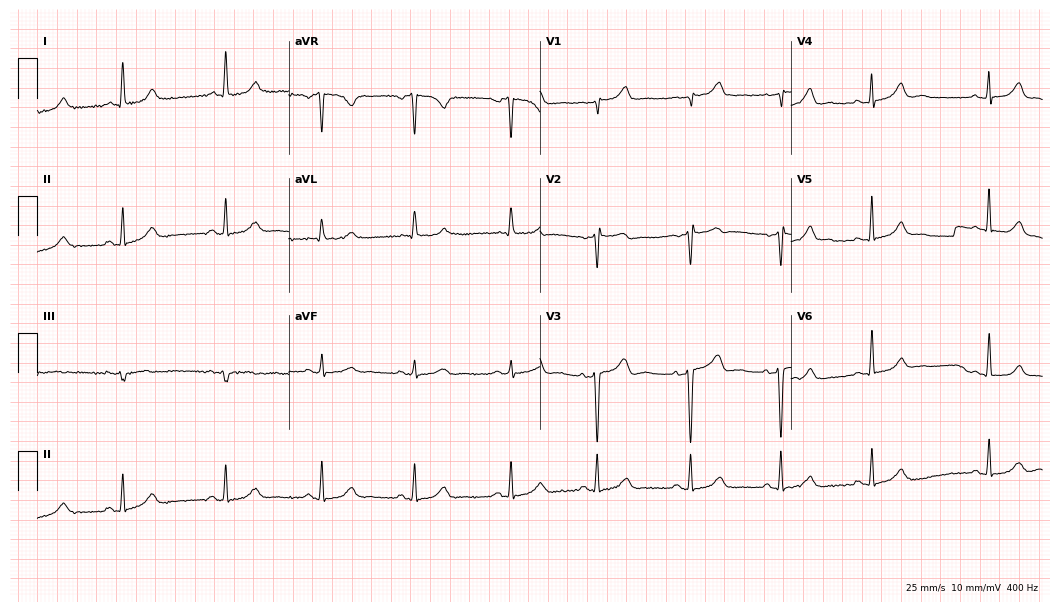
12-lead ECG from a 47-year-old woman (10.2-second recording at 400 Hz). No first-degree AV block, right bundle branch block, left bundle branch block, sinus bradycardia, atrial fibrillation or sinus tachycardia recorded for this tracing. Findings outside these six are not listed.